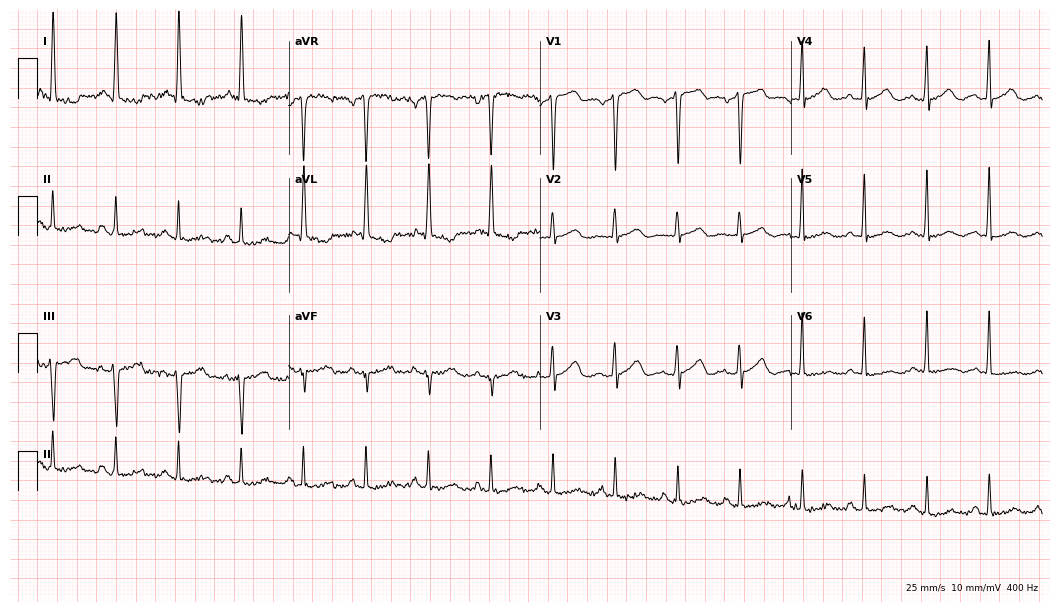
12-lead ECG from a 66-year-old female patient (10.2-second recording at 400 Hz). No first-degree AV block, right bundle branch block, left bundle branch block, sinus bradycardia, atrial fibrillation or sinus tachycardia recorded for this tracing.